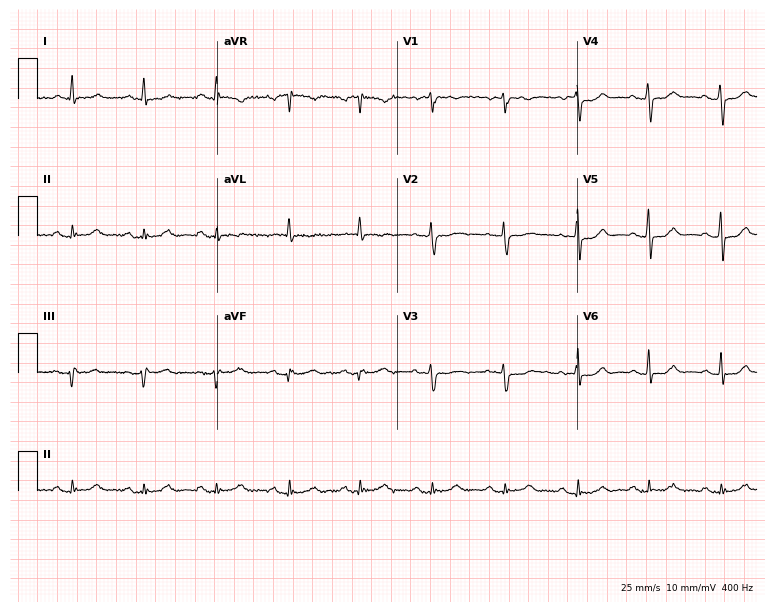
Resting 12-lead electrocardiogram (7.3-second recording at 400 Hz). Patient: a woman, 70 years old. Read as a normal ECG.